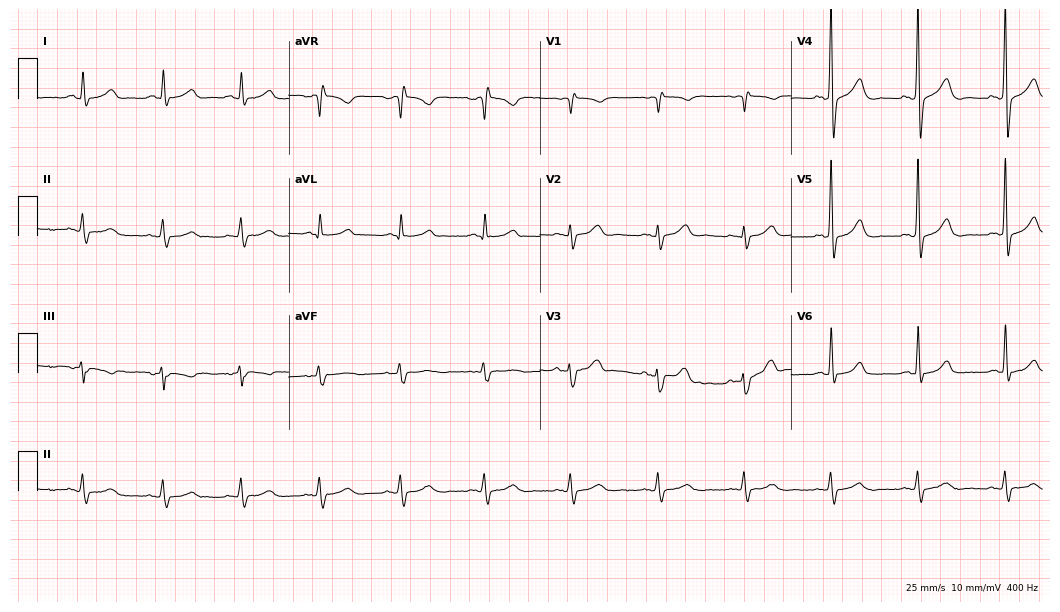
Electrocardiogram, a 70-year-old male. Overall reading on record: normal ECG.